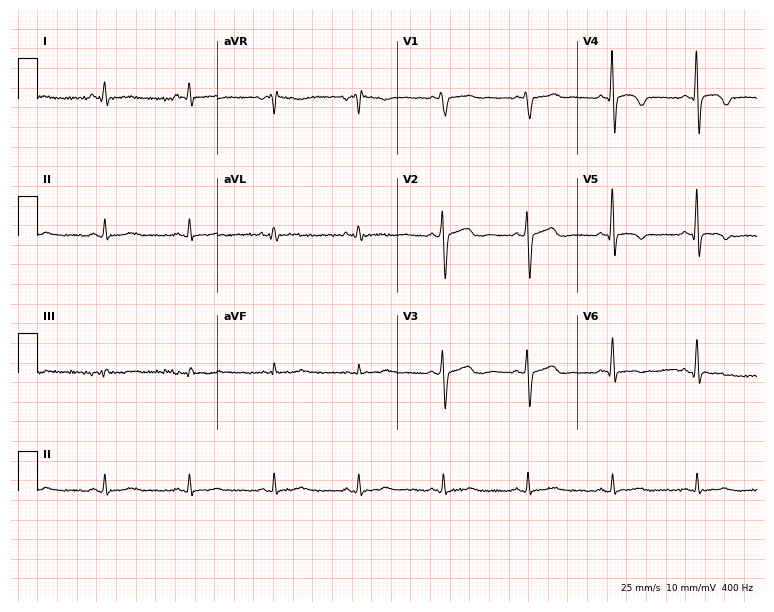
12-lead ECG from a 59-year-old male. Screened for six findings — first-degree AV block, right bundle branch block (RBBB), left bundle branch block (LBBB), sinus bradycardia, atrial fibrillation (AF), sinus tachycardia — none is recorded.